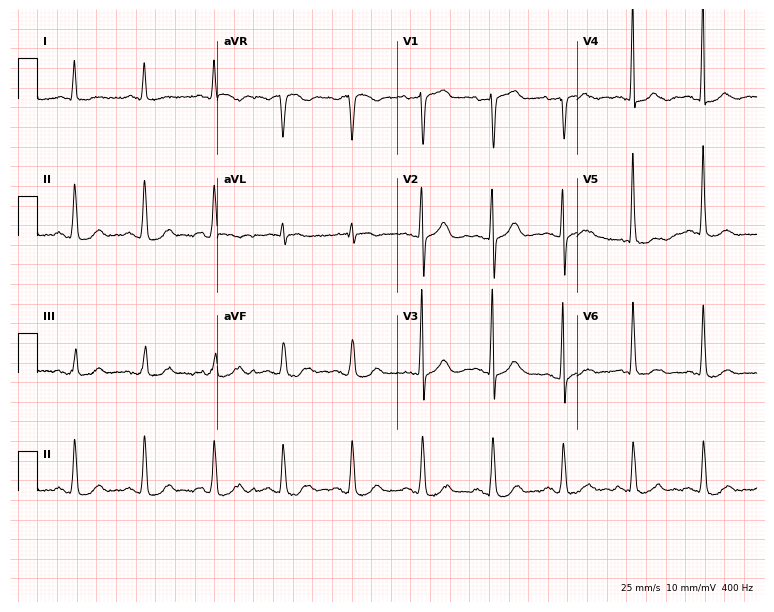
Standard 12-lead ECG recorded from a man, 75 years old (7.3-second recording at 400 Hz). None of these six findings is recorded: first-degree AV block, right bundle branch block, left bundle branch block, sinus bradycardia, atrial fibrillation, sinus tachycardia.